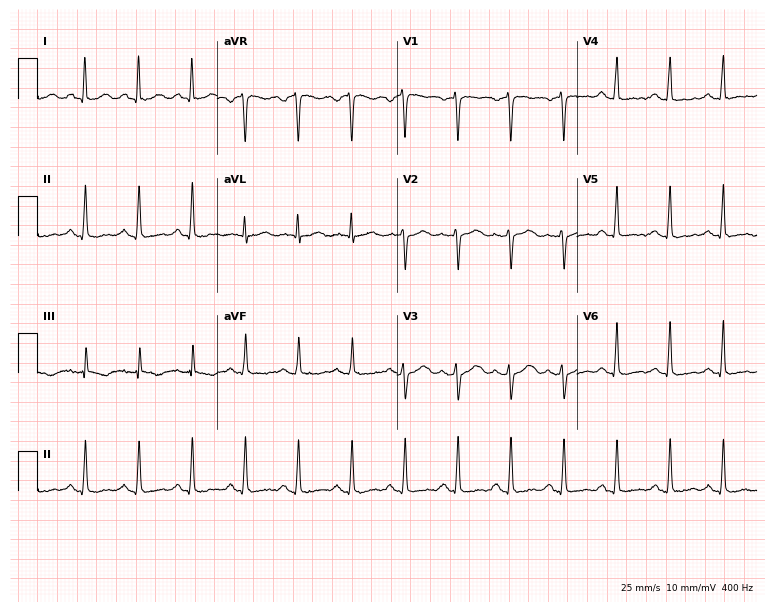
Standard 12-lead ECG recorded from a female patient, 56 years old. None of these six findings is recorded: first-degree AV block, right bundle branch block, left bundle branch block, sinus bradycardia, atrial fibrillation, sinus tachycardia.